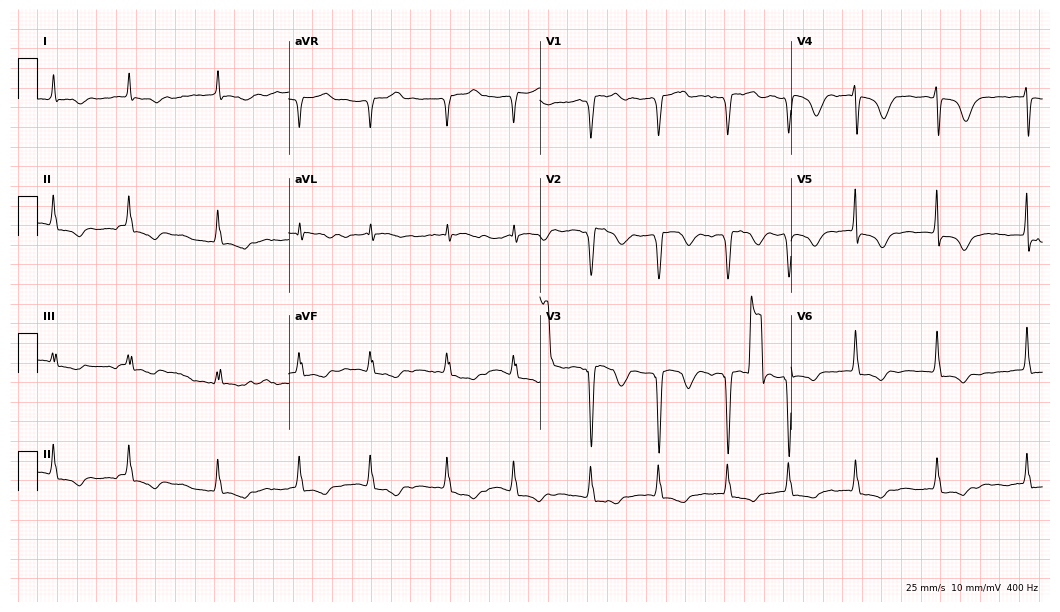
12-lead ECG from an 83-year-old female. Screened for six findings — first-degree AV block, right bundle branch block, left bundle branch block, sinus bradycardia, atrial fibrillation, sinus tachycardia — none is recorded.